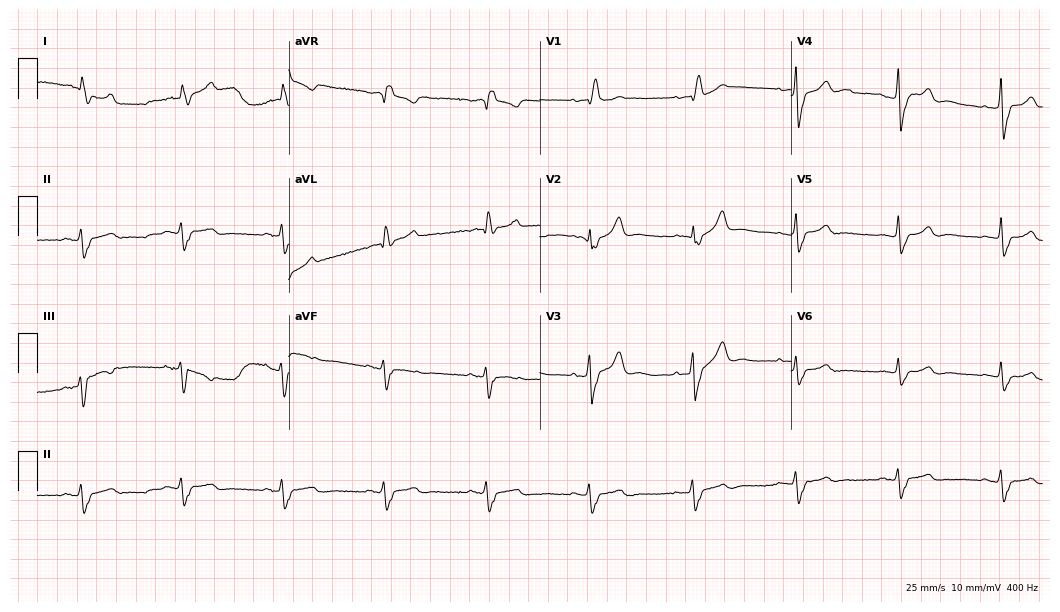
12-lead ECG (10.2-second recording at 400 Hz) from a male, 81 years old. Screened for six findings — first-degree AV block, right bundle branch block, left bundle branch block, sinus bradycardia, atrial fibrillation, sinus tachycardia — none is recorded. Other findings, if any, are not listed.